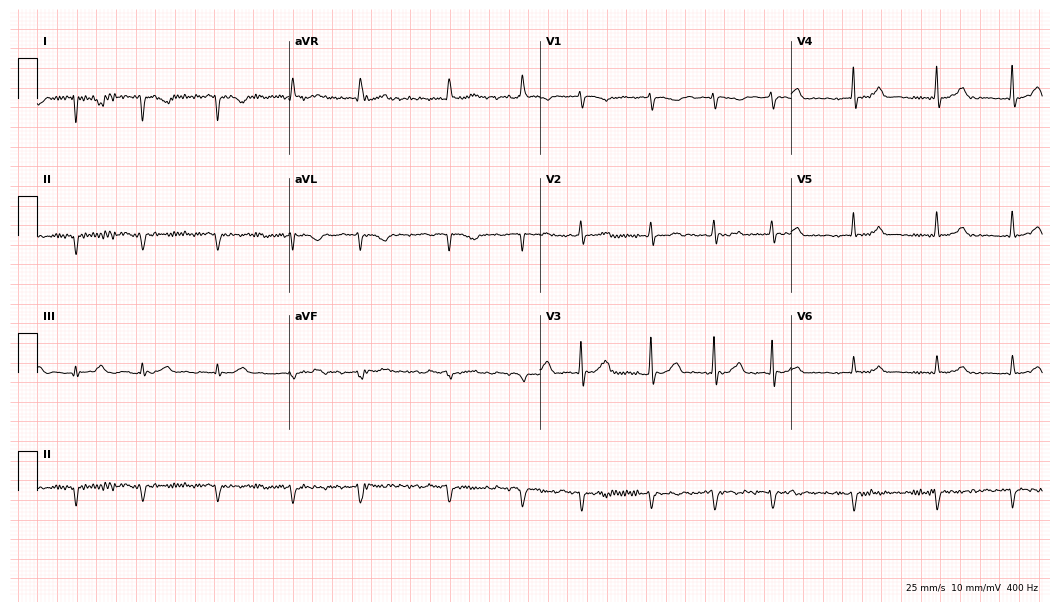
12-lead ECG (10.2-second recording at 400 Hz) from a woman, 67 years old. Screened for six findings — first-degree AV block, right bundle branch block, left bundle branch block, sinus bradycardia, atrial fibrillation, sinus tachycardia — none is recorded.